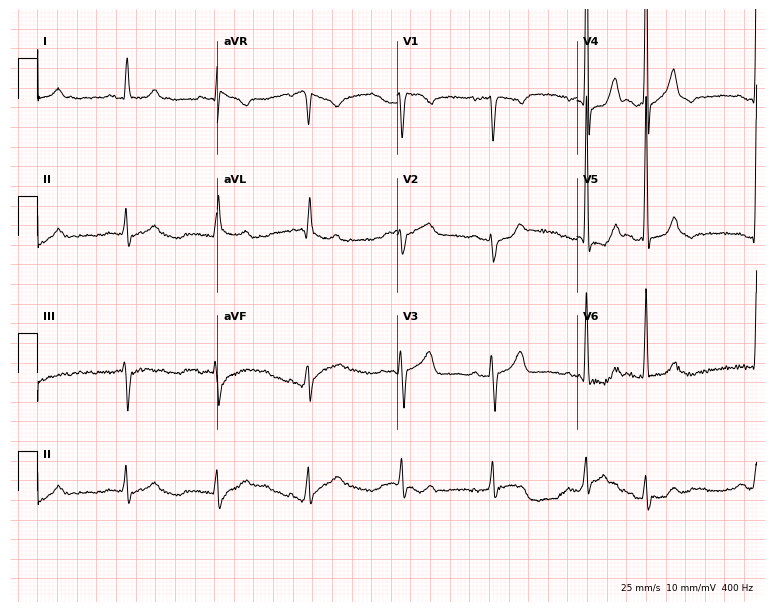
12-lead ECG from a 66-year-old man. No first-degree AV block, right bundle branch block, left bundle branch block, sinus bradycardia, atrial fibrillation or sinus tachycardia recorded for this tracing. Only these six findings were labelled.